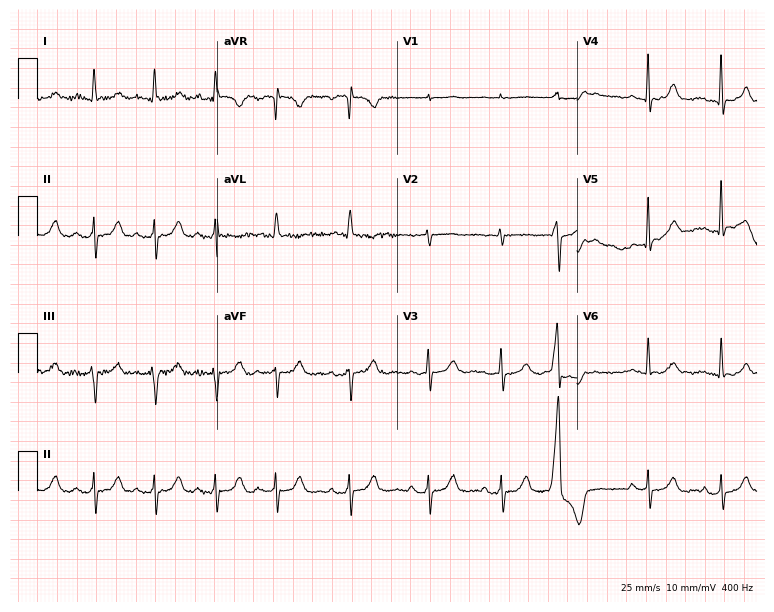
Resting 12-lead electrocardiogram. Patient: a 74-year-old female. None of these six findings is recorded: first-degree AV block, right bundle branch block, left bundle branch block, sinus bradycardia, atrial fibrillation, sinus tachycardia. Only these six findings were labelled.